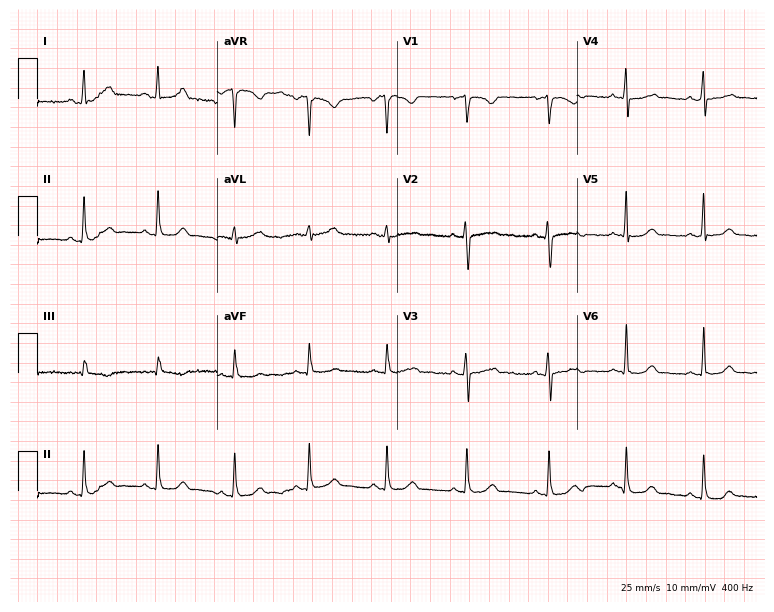
Standard 12-lead ECG recorded from a 22-year-old woman (7.3-second recording at 400 Hz). Read as a normal ECG.